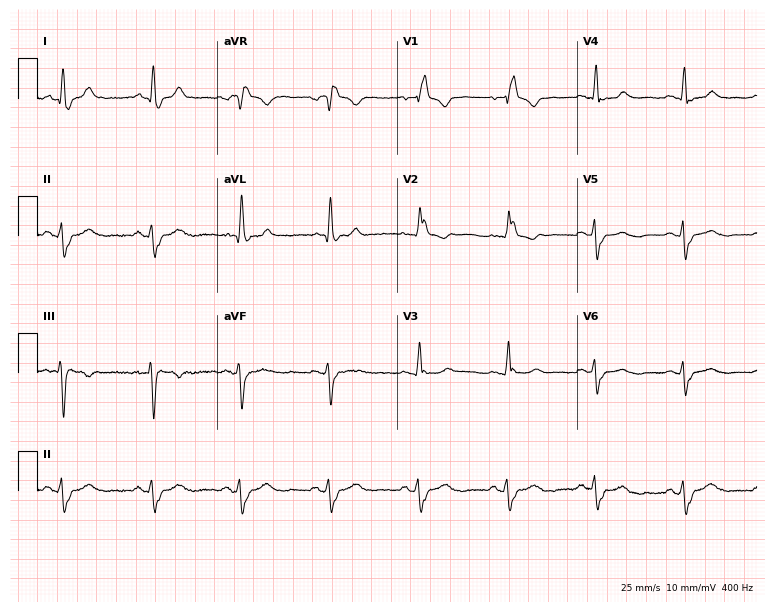
Resting 12-lead electrocardiogram (7.3-second recording at 400 Hz). Patient: a female, 74 years old. The tracing shows right bundle branch block.